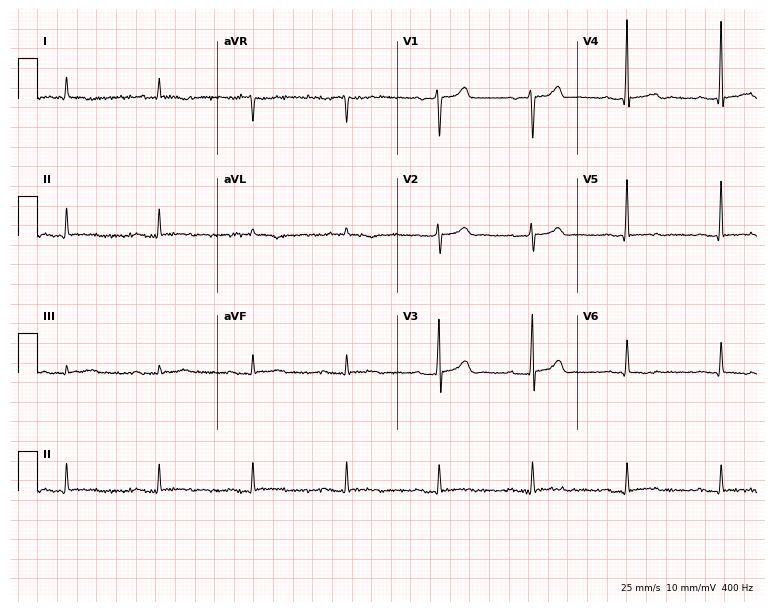
ECG (7.3-second recording at 400 Hz) — a 79-year-old male. Screened for six findings — first-degree AV block, right bundle branch block, left bundle branch block, sinus bradycardia, atrial fibrillation, sinus tachycardia — none is recorded.